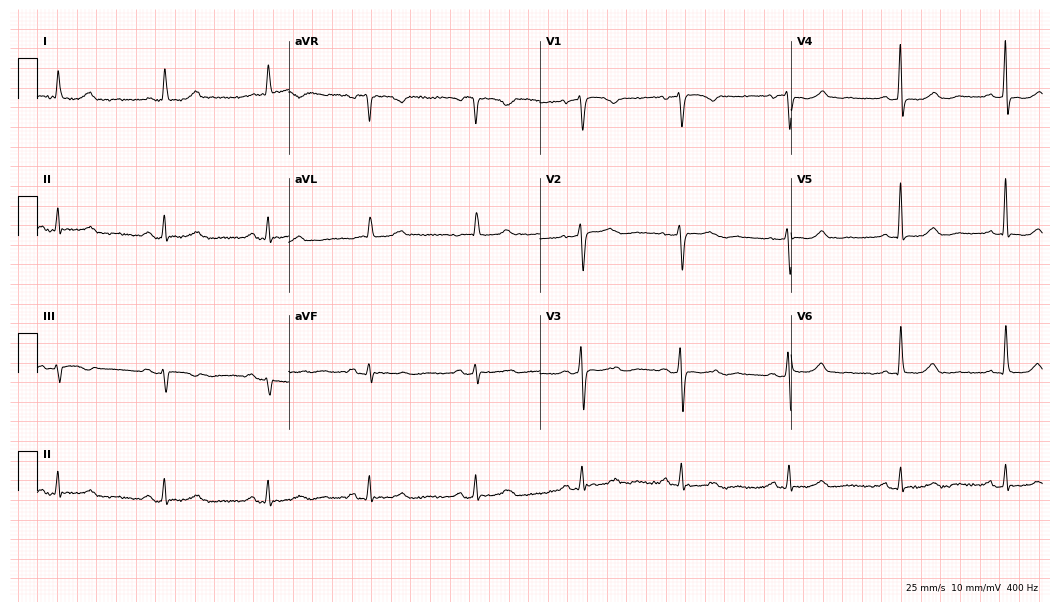
Standard 12-lead ECG recorded from a female, 71 years old. None of these six findings is recorded: first-degree AV block, right bundle branch block, left bundle branch block, sinus bradycardia, atrial fibrillation, sinus tachycardia. Only these six findings were labelled.